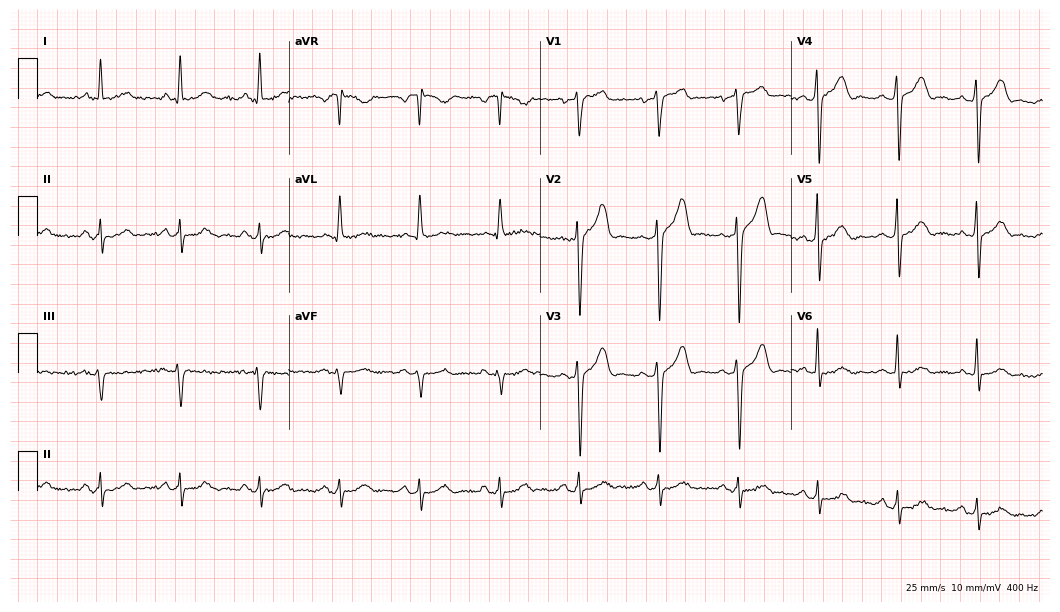
Standard 12-lead ECG recorded from a male patient, 72 years old. Read as a normal ECG.